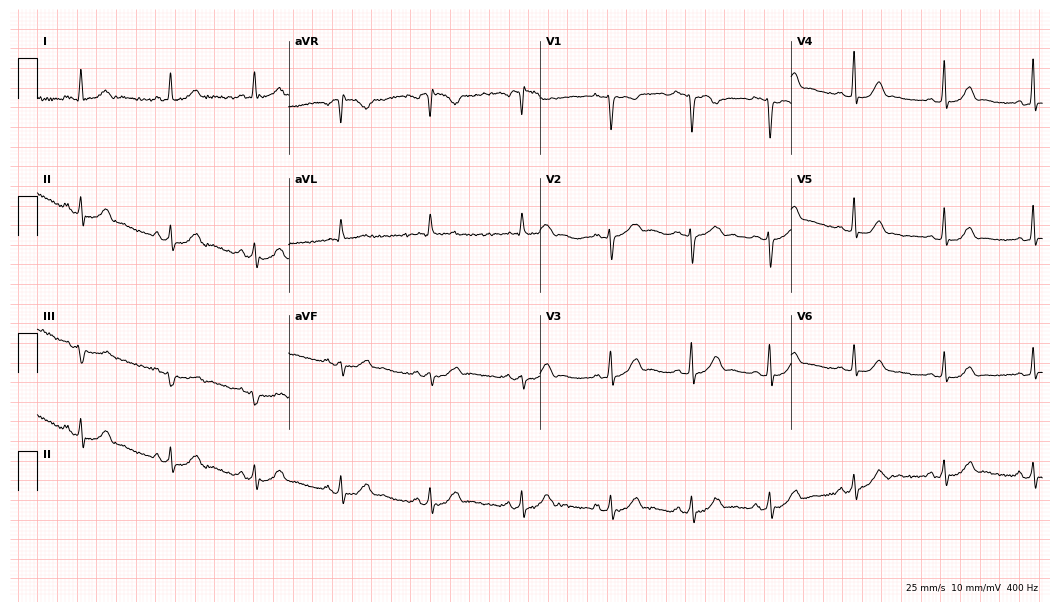
ECG (10.2-second recording at 400 Hz) — a female, 35 years old. Labelled as a normal ECG.